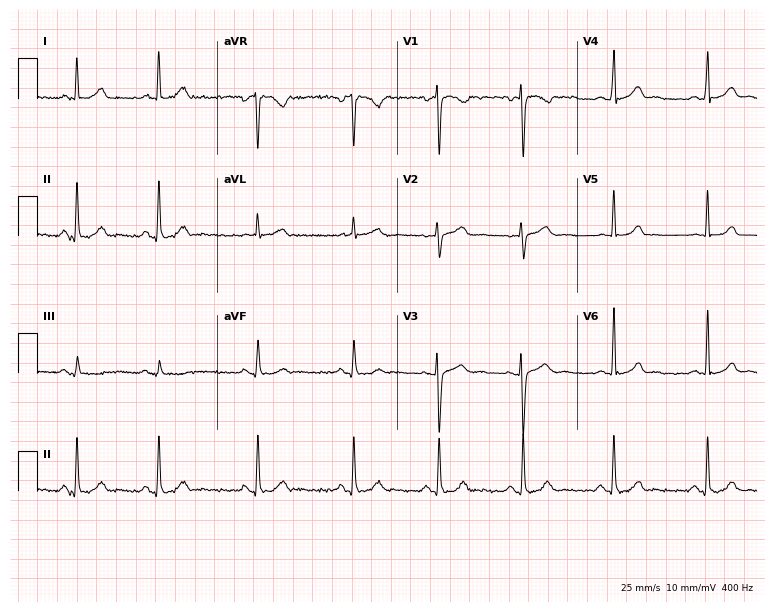
Electrocardiogram, a male, 28 years old. Of the six screened findings (first-degree AV block, right bundle branch block (RBBB), left bundle branch block (LBBB), sinus bradycardia, atrial fibrillation (AF), sinus tachycardia), none is recorded. Other findings, if any, are not listed.